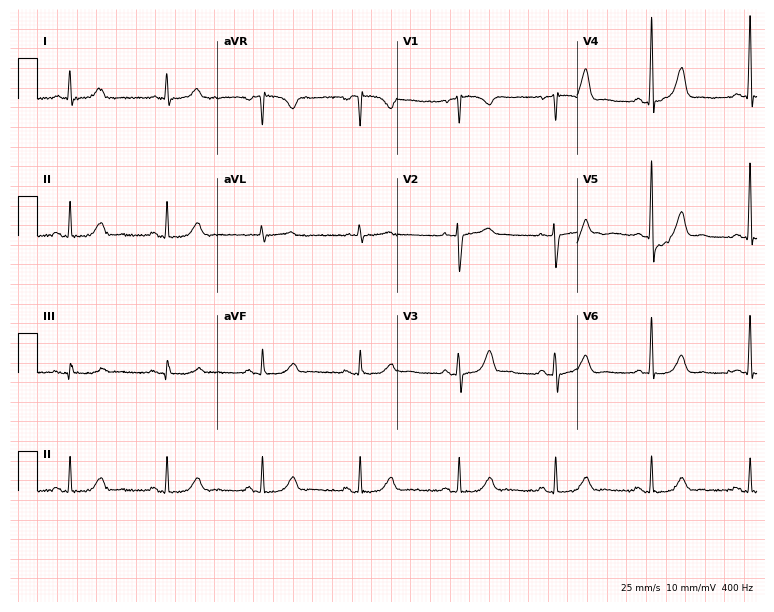
Electrocardiogram (7.3-second recording at 400 Hz), a woman, 79 years old. Overall reading on record: normal ECG.